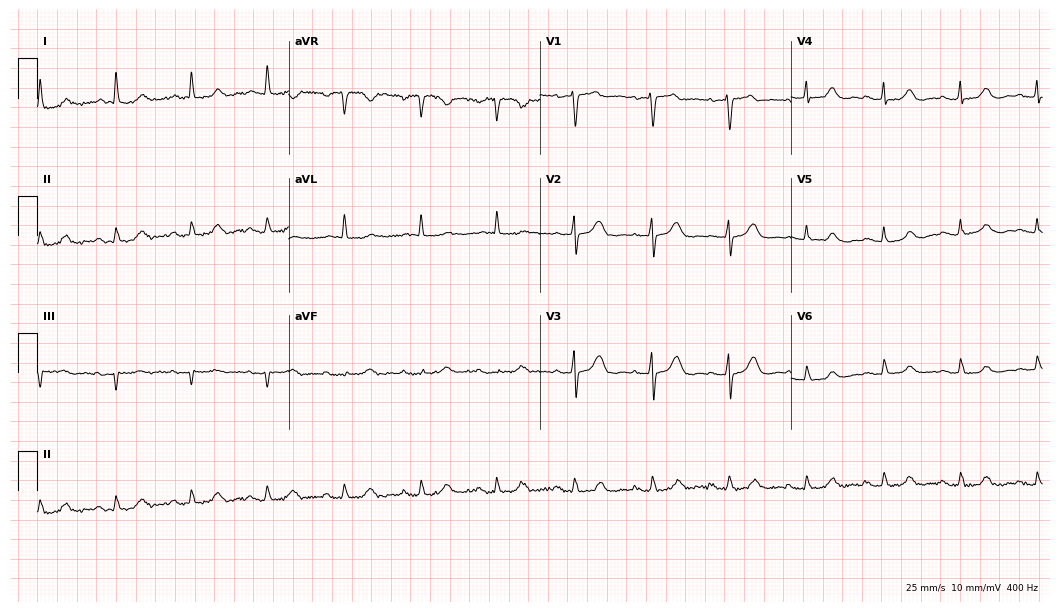
Electrocardiogram (10.2-second recording at 400 Hz), an 80-year-old female. Overall reading on record: normal ECG.